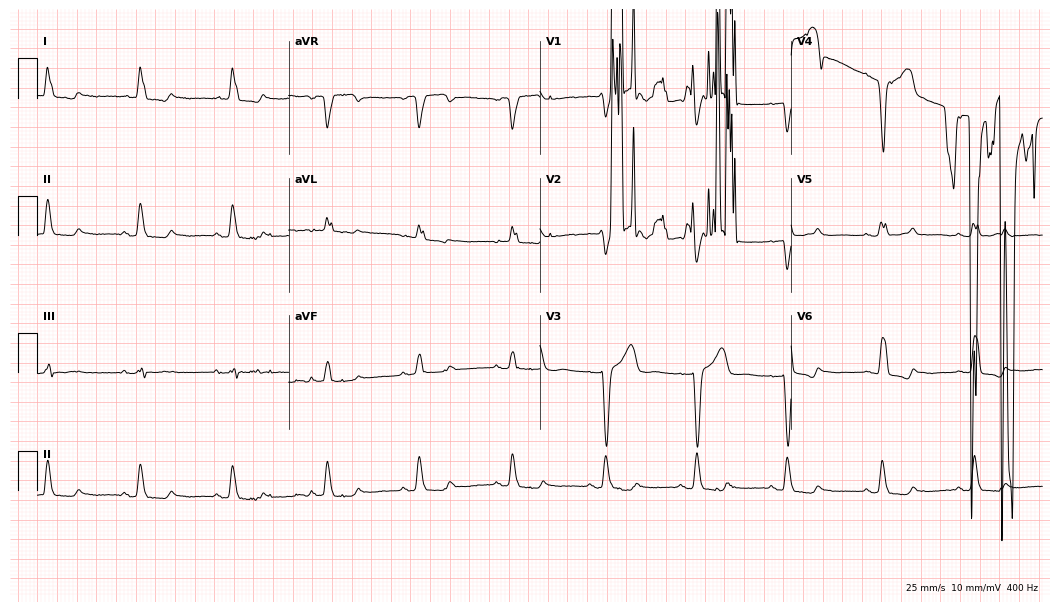
12-lead ECG (10.2-second recording at 400 Hz) from a 77-year-old female patient. Screened for six findings — first-degree AV block, right bundle branch block, left bundle branch block, sinus bradycardia, atrial fibrillation, sinus tachycardia — none is recorded. Findings outside these six are not listed.